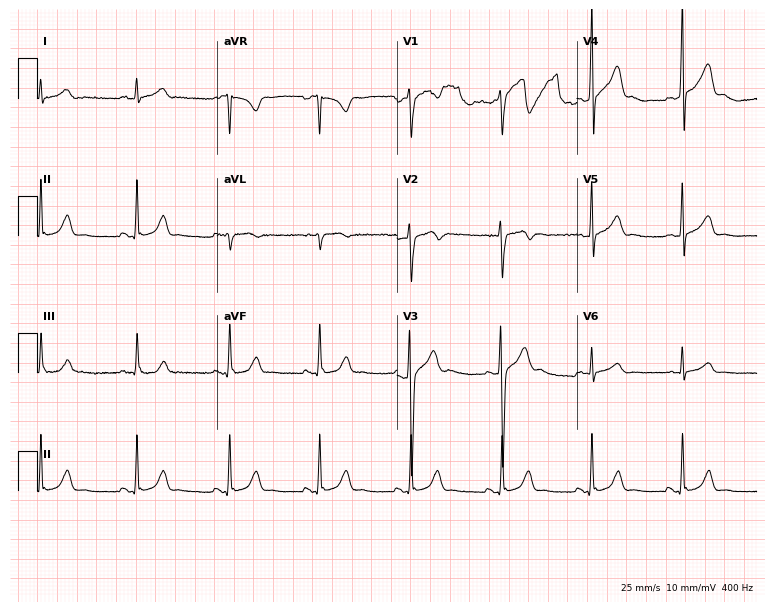
12-lead ECG from a male, 22 years old (7.3-second recording at 400 Hz). Recorded interpretation: within normal limits.